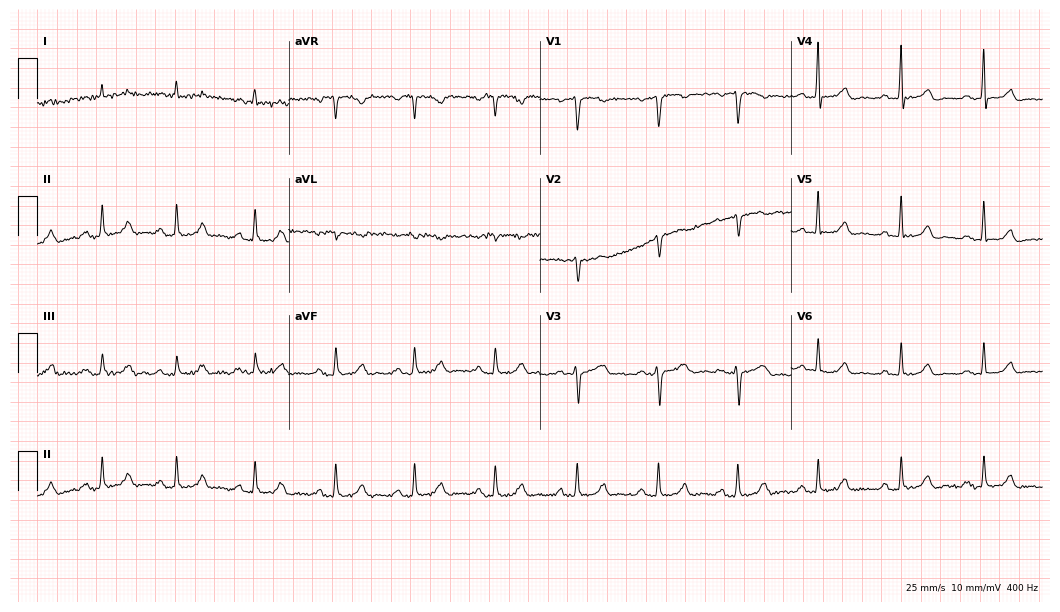
Standard 12-lead ECG recorded from a male, 65 years old. Read as a normal ECG.